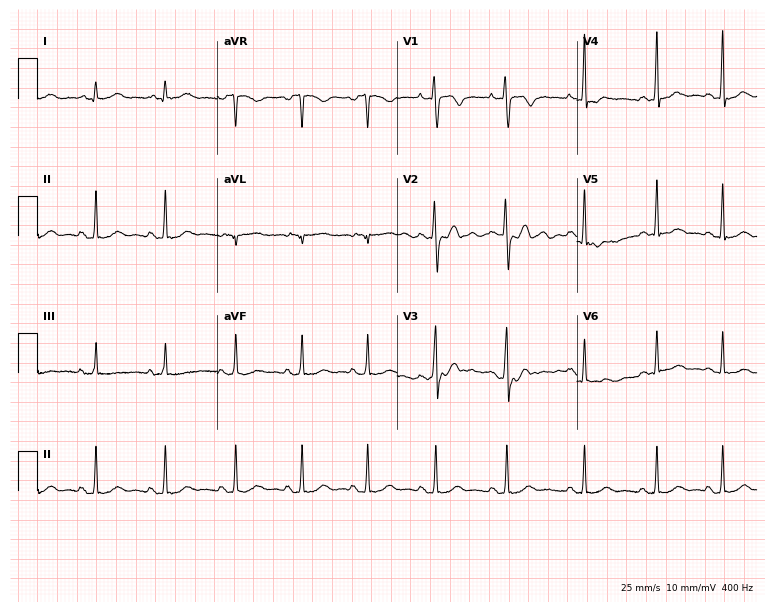
12-lead ECG from a 29-year-old female. Labelled as a normal ECG.